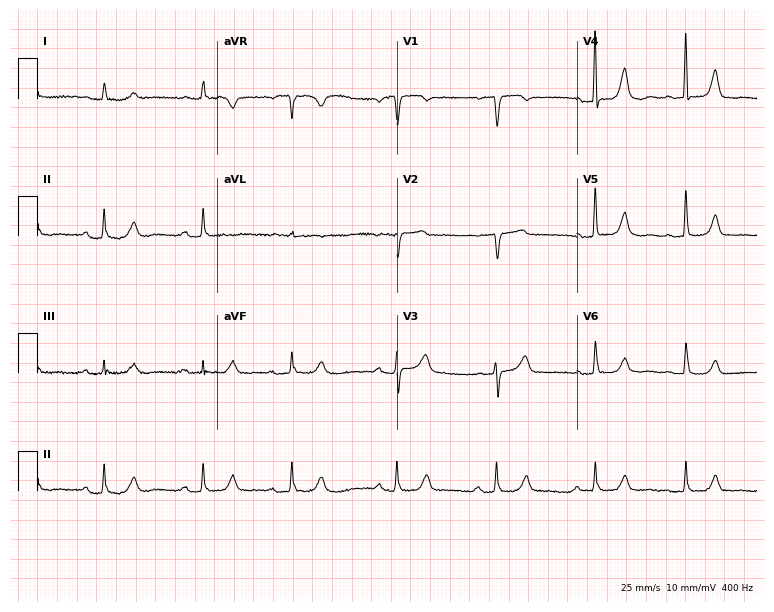
Standard 12-lead ECG recorded from a woman, 73 years old. Read as a normal ECG.